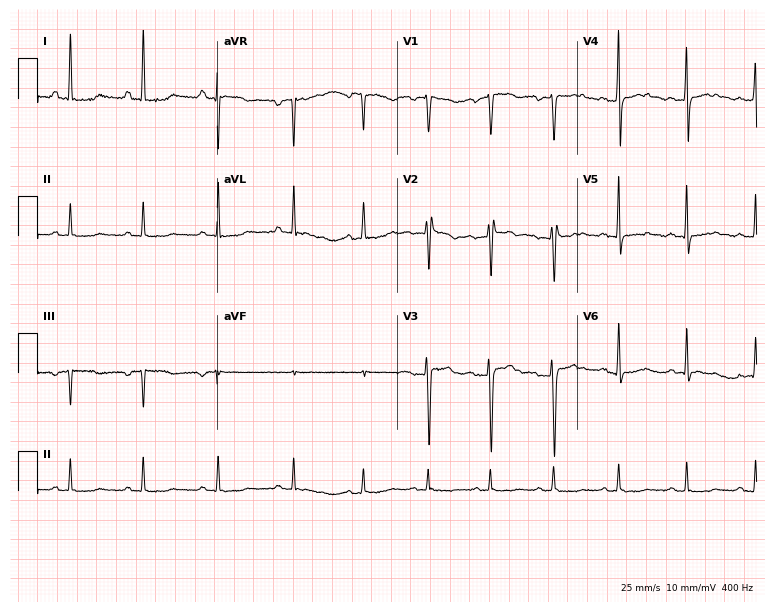
ECG (7.3-second recording at 400 Hz) — a female patient, 29 years old. Screened for six findings — first-degree AV block, right bundle branch block, left bundle branch block, sinus bradycardia, atrial fibrillation, sinus tachycardia — none is recorded.